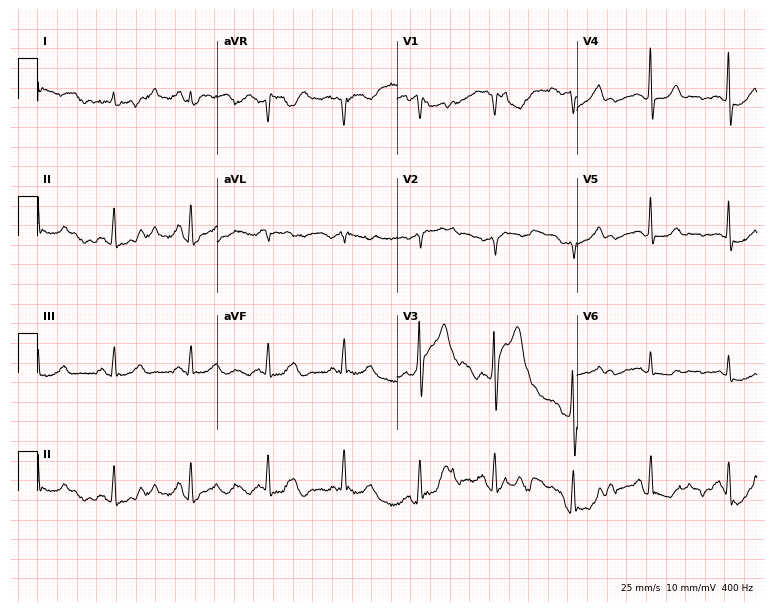
Resting 12-lead electrocardiogram. Patient: a male, 79 years old. None of these six findings is recorded: first-degree AV block, right bundle branch block, left bundle branch block, sinus bradycardia, atrial fibrillation, sinus tachycardia. Other findings, if any, are not listed.